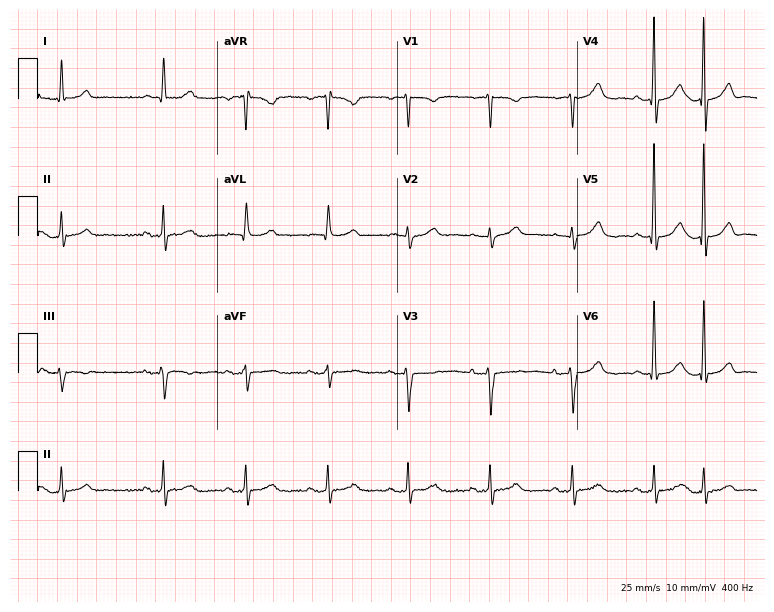
Standard 12-lead ECG recorded from a 71-year-old male (7.3-second recording at 400 Hz). None of these six findings is recorded: first-degree AV block, right bundle branch block (RBBB), left bundle branch block (LBBB), sinus bradycardia, atrial fibrillation (AF), sinus tachycardia. Only these six findings were labelled.